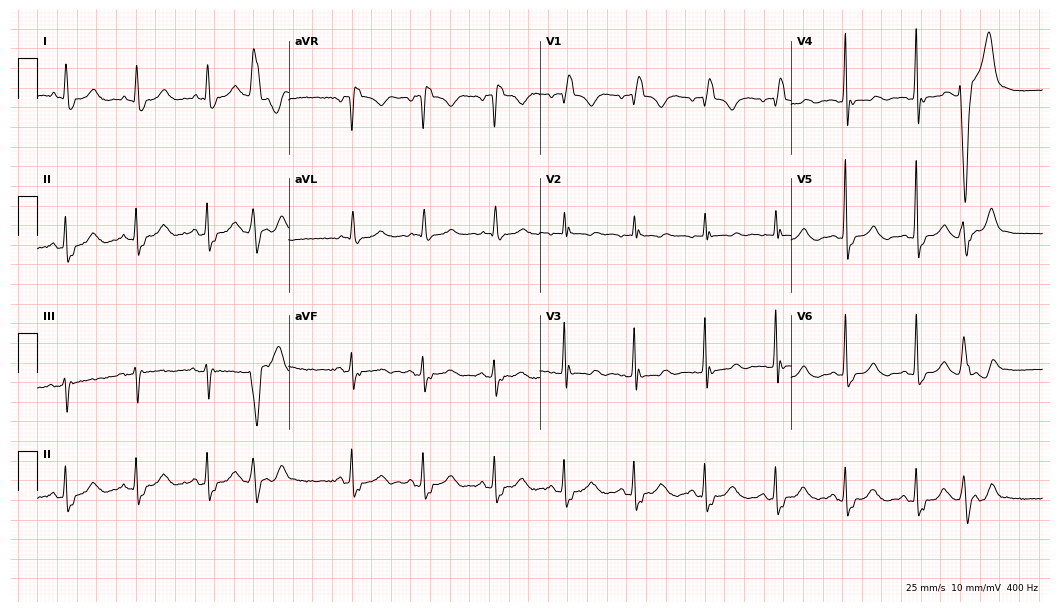
Electrocardiogram, a female patient, 76 years old. Interpretation includes right bundle branch block (RBBB).